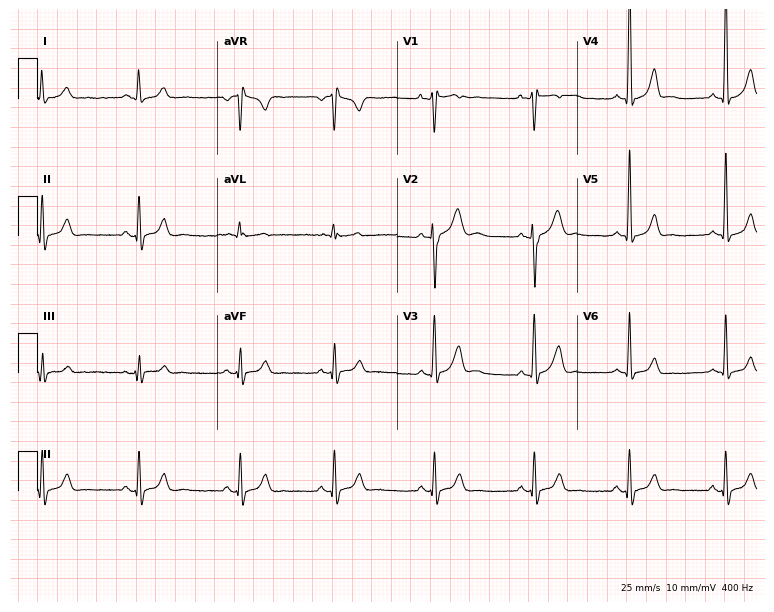
ECG (7.3-second recording at 400 Hz) — a 17-year-old male patient. Screened for six findings — first-degree AV block, right bundle branch block, left bundle branch block, sinus bradycardia, atrial fibrillation, sinus tachycardia — none is recorded.